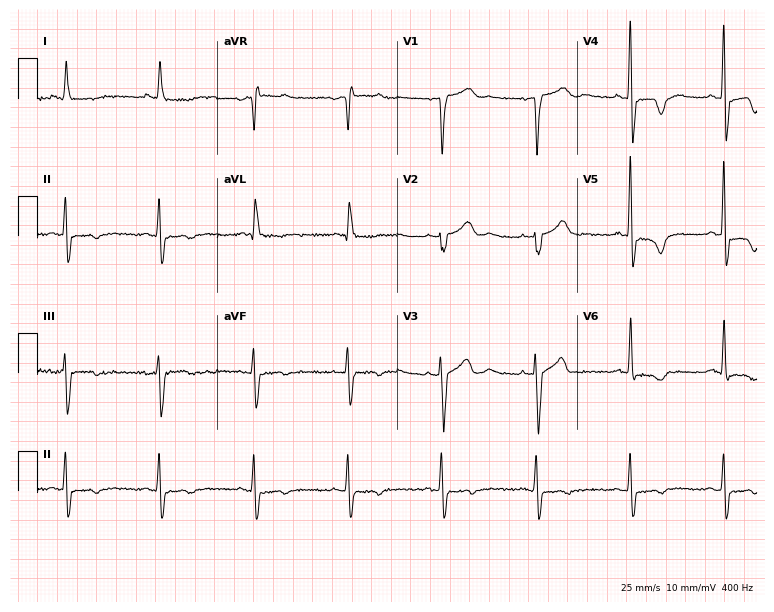
Resting 12-lead electrocardiogram (7.3-second recording at 400 Hz). Patient: a man, 79 years old. None of these six findings is recorded: first-degree AV block, right bundle branch block, left bundle branch block, sinus bradycardia, atrial fibrillation, sinus tachycardia. Findings outside these six are not listed.